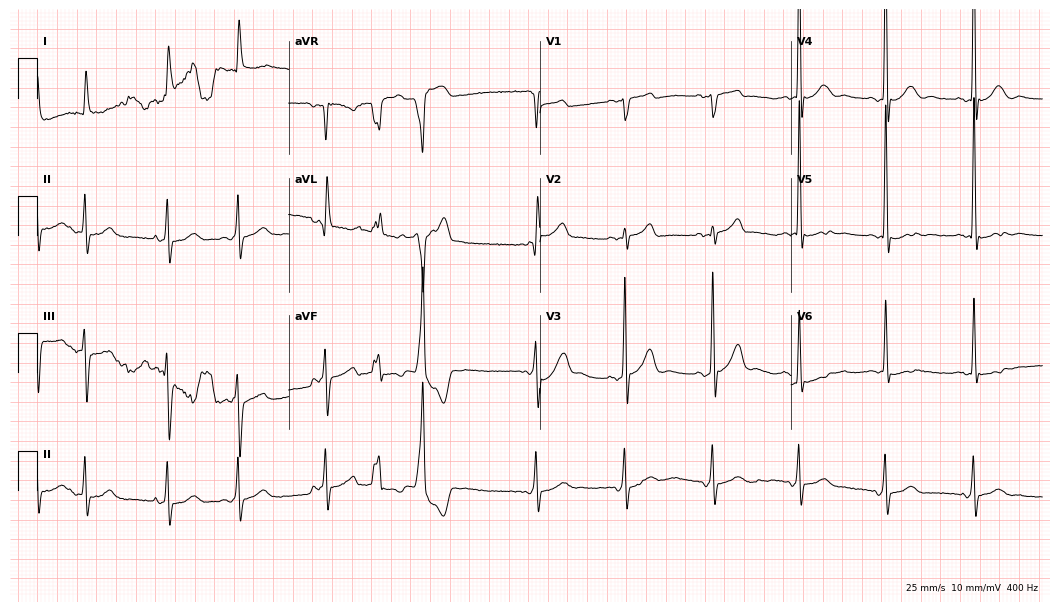
Resting 12-lead electrocardiogram. Patient: a woman, 78 years old. None of these six findings is recorded: first-degree AV block, right bundle branch block (RBBB), left bundle branch block (LBBB), sinus bradycardia, atrial fibrillation (AF), sinus tachycardia. Other findings, if any, are not listed.